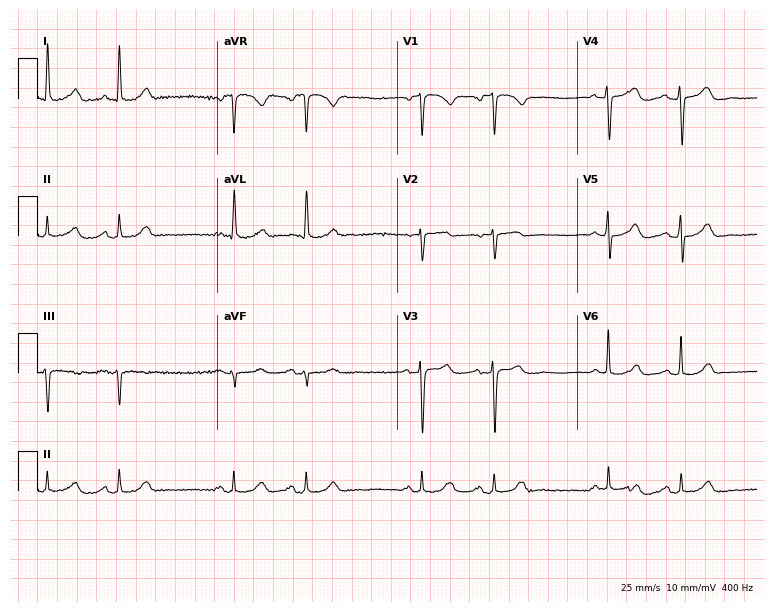
12-lead ECG from a 78-year-old woman (7.3-second recording at 400 Hz). No first-degree AV block, right bundle branch block, left bundle branch block, sinus bradycardia, atrial fibrillation or sinus tachycardia recorded for this tracing. Only these six findings were labelled.